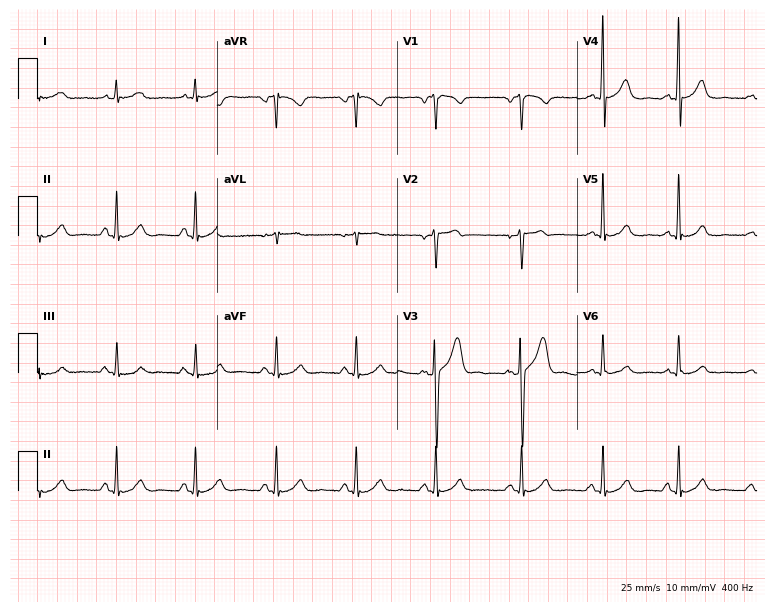
ECG (7.3-second recording at 400 Hz) — a 46-year-old male. Labelled as a normal ECG.